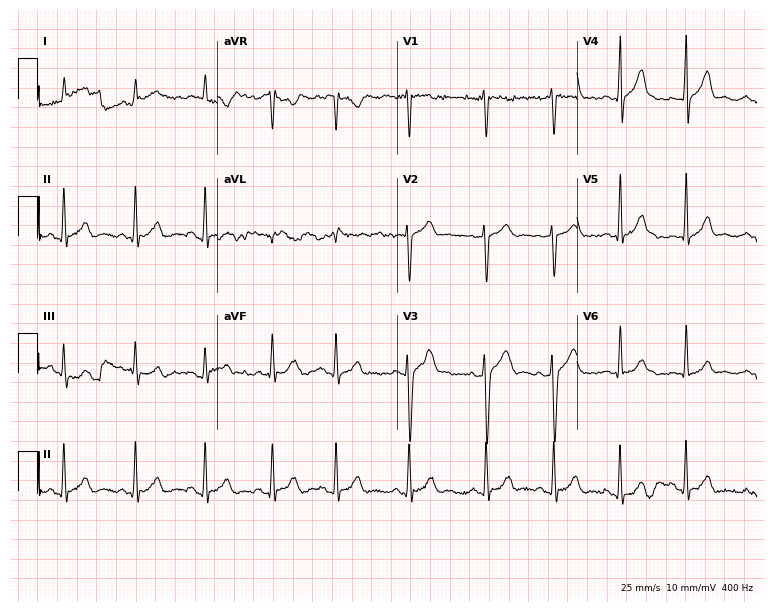
ECG — a 17-year-old male patient. Labelled as a normal ECG.